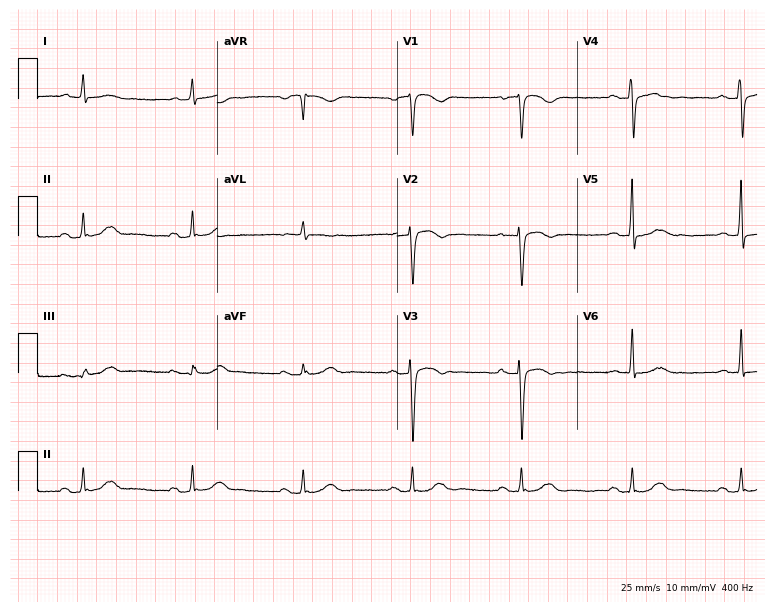
Electrocardiogram, a male patient, 83 years old. Overall reading on record: normal ECG.